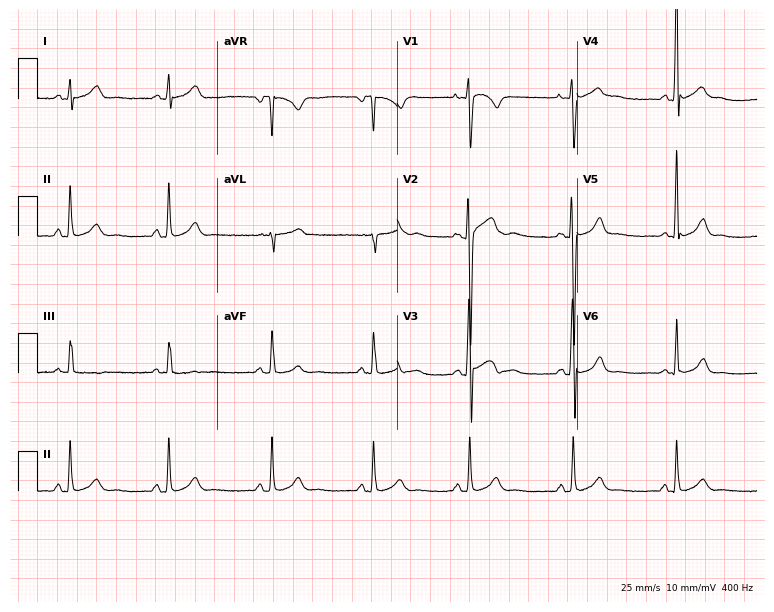
Resting 12-lead electrocardiogram. Patient: a man, 17 years old. None of these six findings is recorded: first-degree AV block, right bundle branch block (RBBB), left bundle branch block (LBBB), sinus bradycardia, atrial fibrillation (AF), sinus tachycardia. Findings outside these six are not listed.